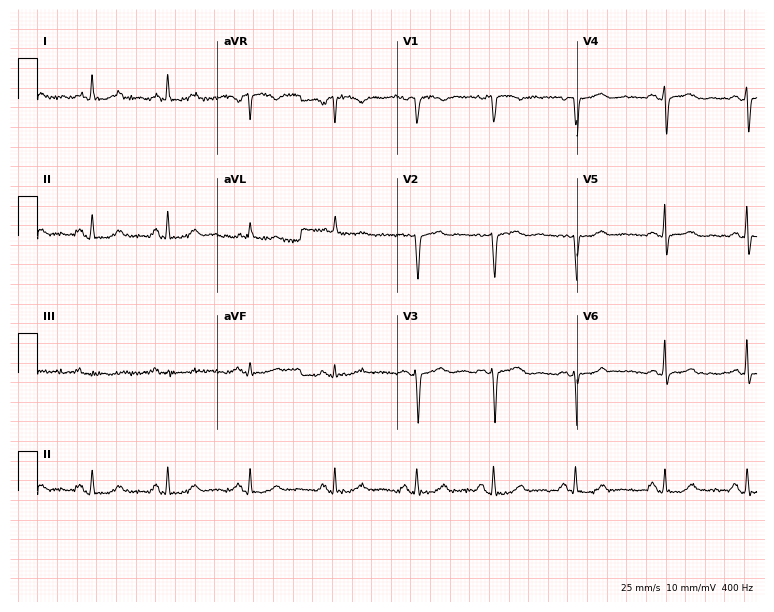
Electrocardiogram (7.3-second recording at 400 Hz), a 78-year-old woman. Overall reading on record: normal ECG.